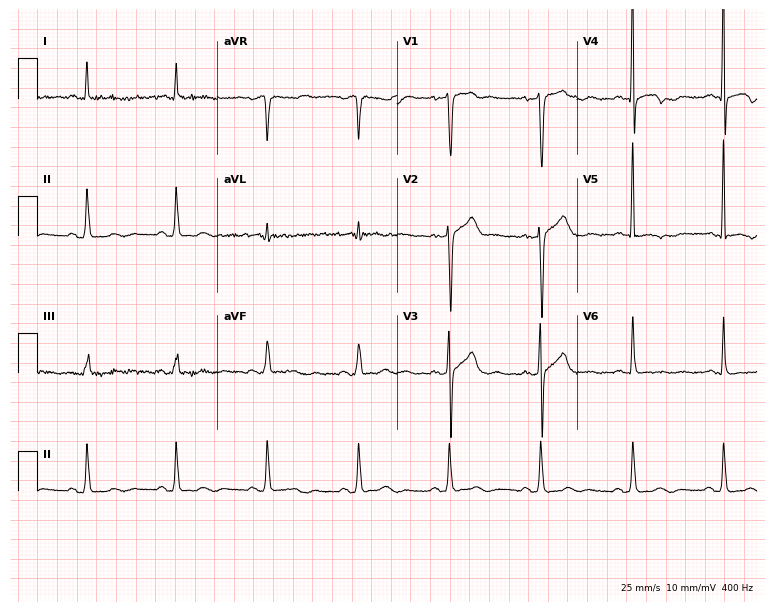
Standard 12-lead ECG recorded from a 59-year-old male patient. None of these six findings is recorded: first-degree AV block, right bundle branch block (RBBB), left bundle branch block (LBBB), sinus bradycardia, atrial fibrillation (AF), sinus tachycardia.